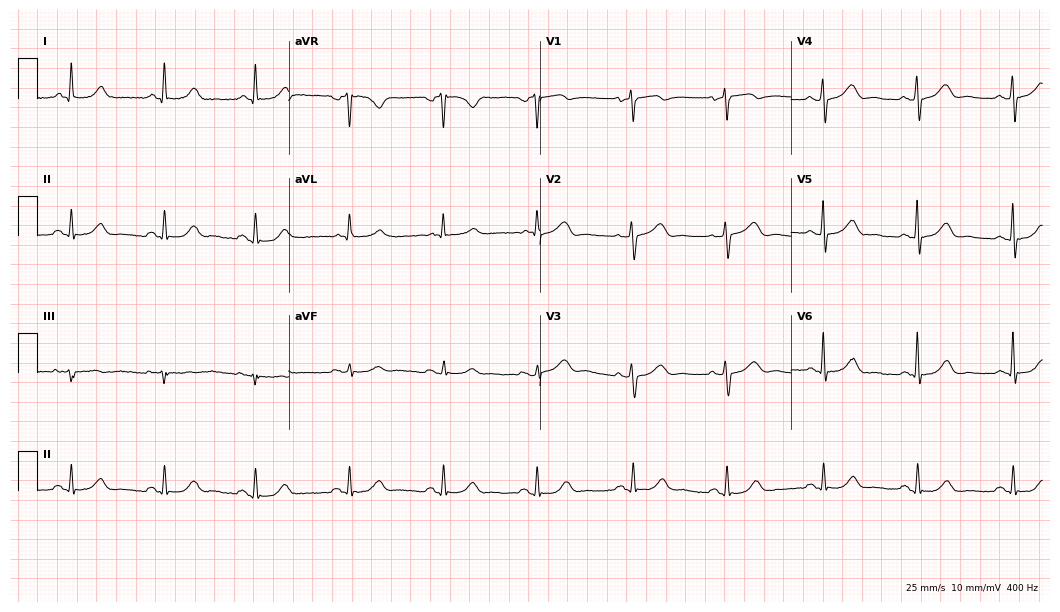
Electrocardiogram (10.2-second recording at 400 Hz), a 71-year-old woman. Overall reading on record: normal ECG.